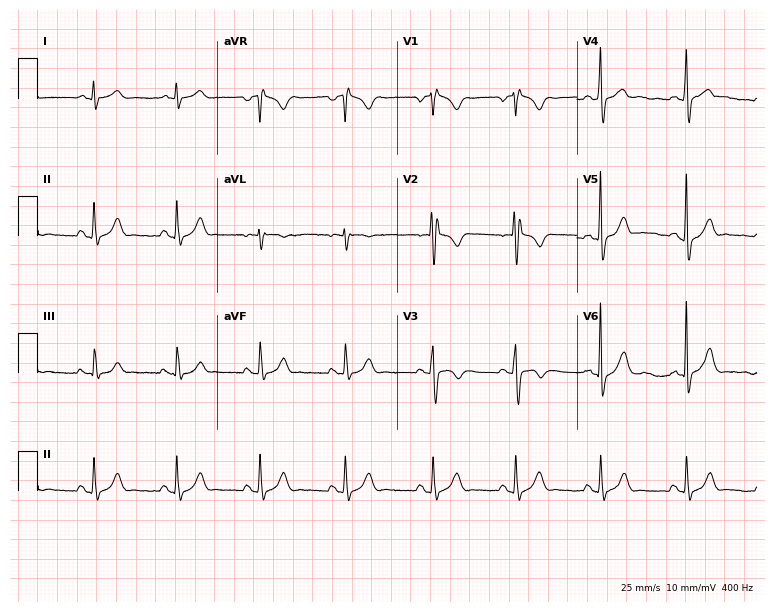
Standard 12-lead ECG recorded from a 25-year-old male. Read as a normal ECG.